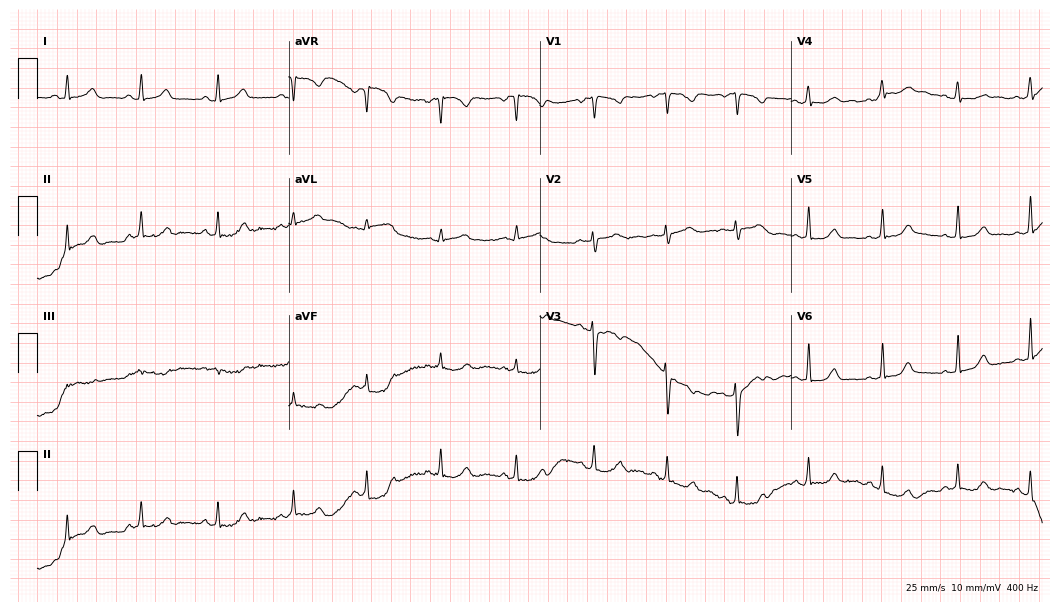
ECG — a woman, 18 years old. Labelled as a normal ECG.